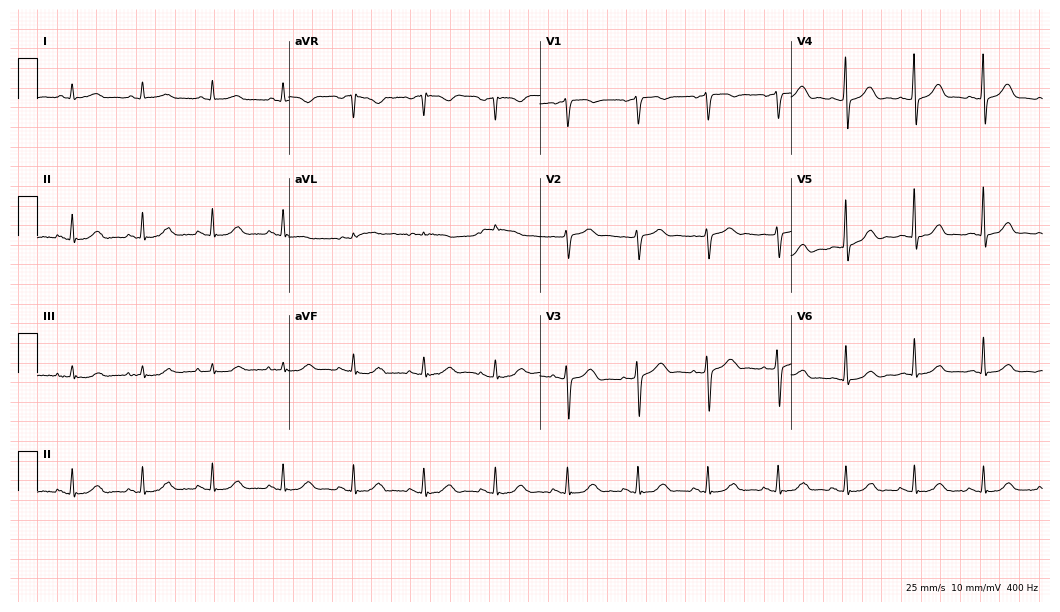
Electrocardiogram, a 58-year-old female. Overall reading on record: normal ECG.